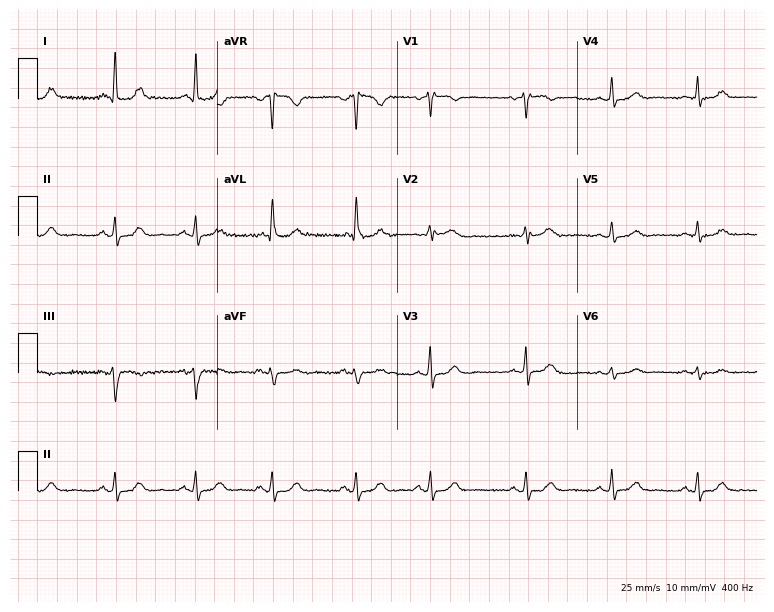
Electrocardiogram (7.3-second recording at 400 Hz), a woman, 58 years old. Of the six screened findings (first-degree AV block, right bundle branch block (RBBB), left bundle branch block (LBBB), sinus bradycardia, atrial fibrillation (AF), sinus tachycardia), none is recorded.